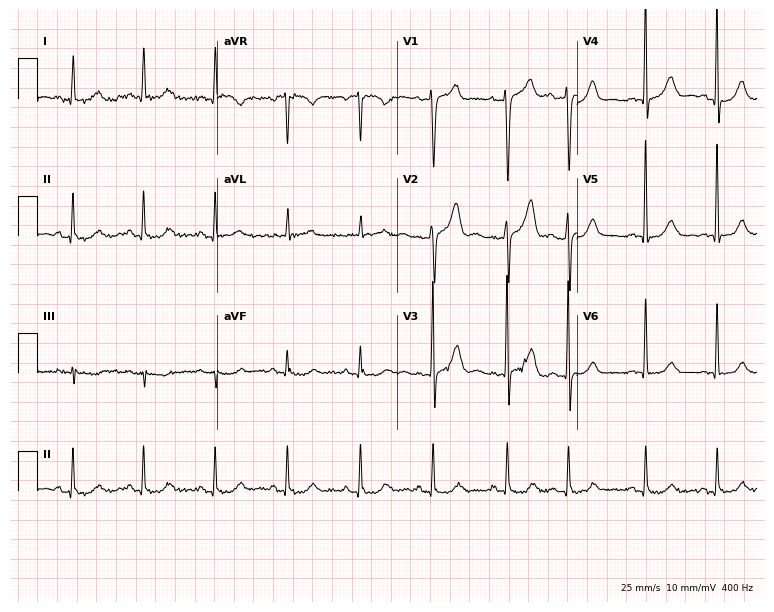
ECG — a 75-year-old male patient. Labelled as a normal ECG.